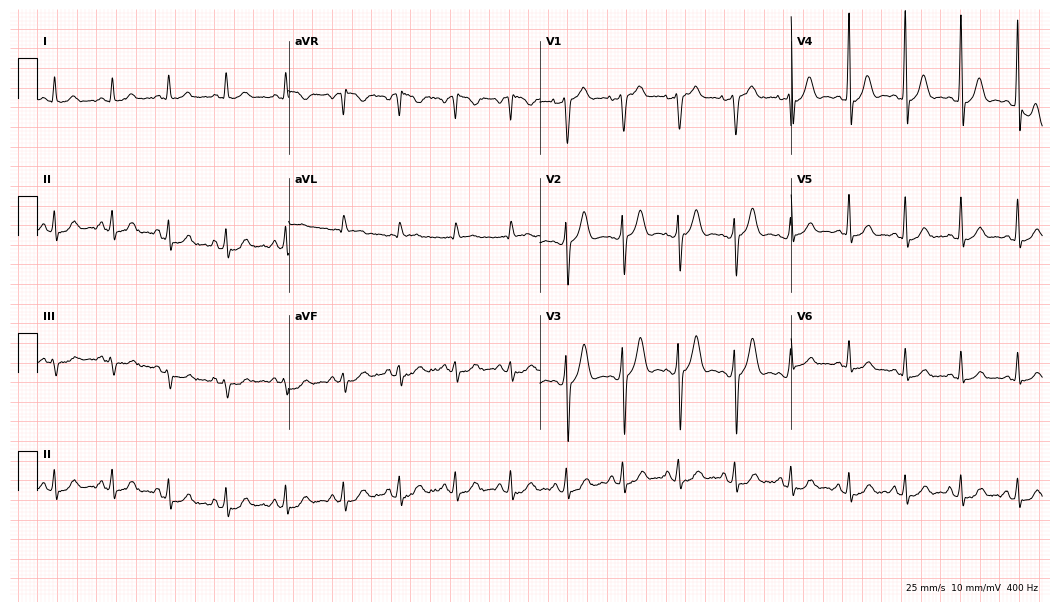
Electrocardiogram, a 34-year-old male patient. Overall reading on record: normal ECG.